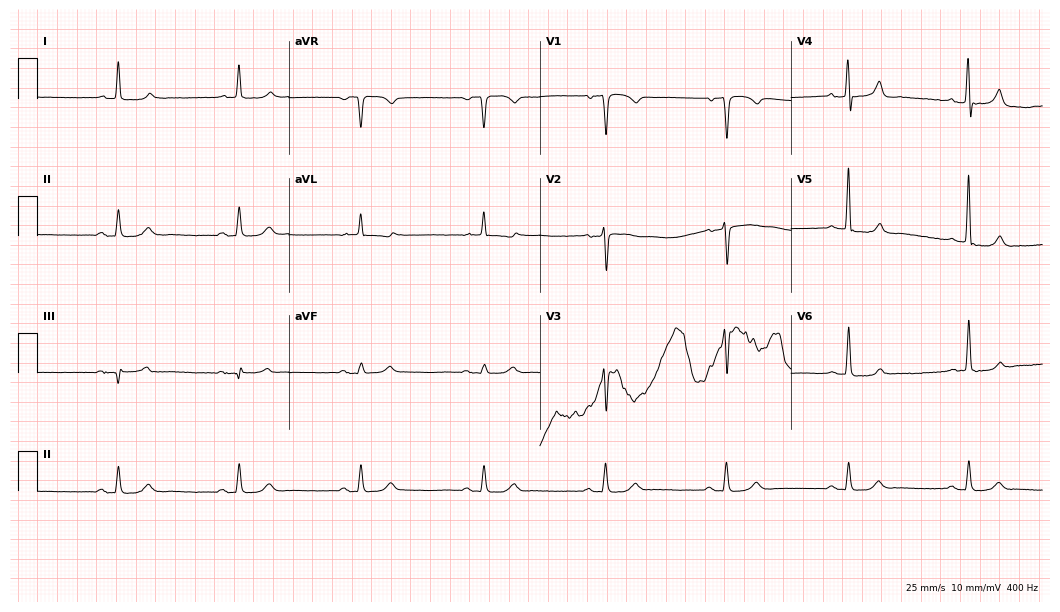
12-lead ECG (10.2-second recording at 400 Hz) from a 75-year-old man. Findings include sinus bradycardia (a sinus rate of 50 beats per minute or less).